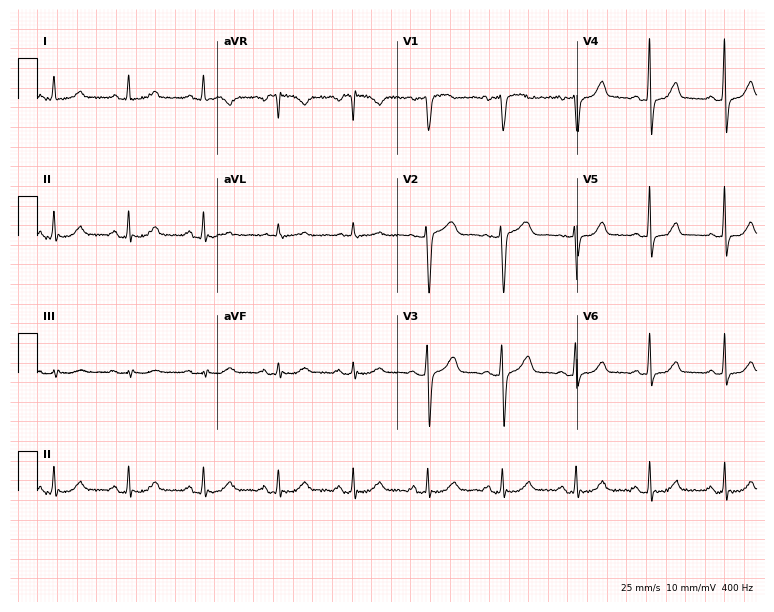
Resting 12-lead electrocardiogram (7.3-second recording at 400 Hz). Patient: a 62-year-old woman. None of these six findings is recorded: first-degree AV block, right bundle branch block, left bundle branch block, sinus bradycardia, atrial fibrillation, sinus tachycardia.